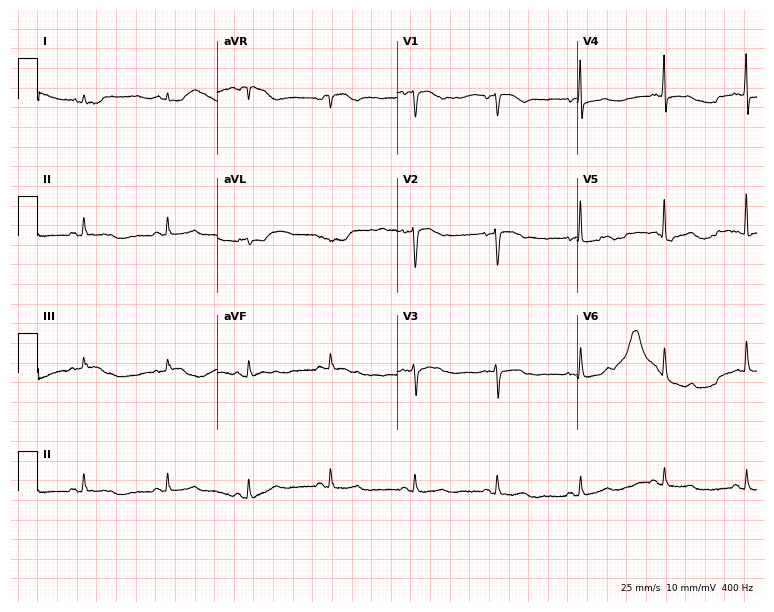
12-lead ECG from a 53-year-old woman. Screened for six findings — first-degree AV block, right bundle branch block (RBBB), left bundle branch block (LBBB), sinus bradycardia, atrial fibrillation (AF), sinus tachycardia — none is recorded.